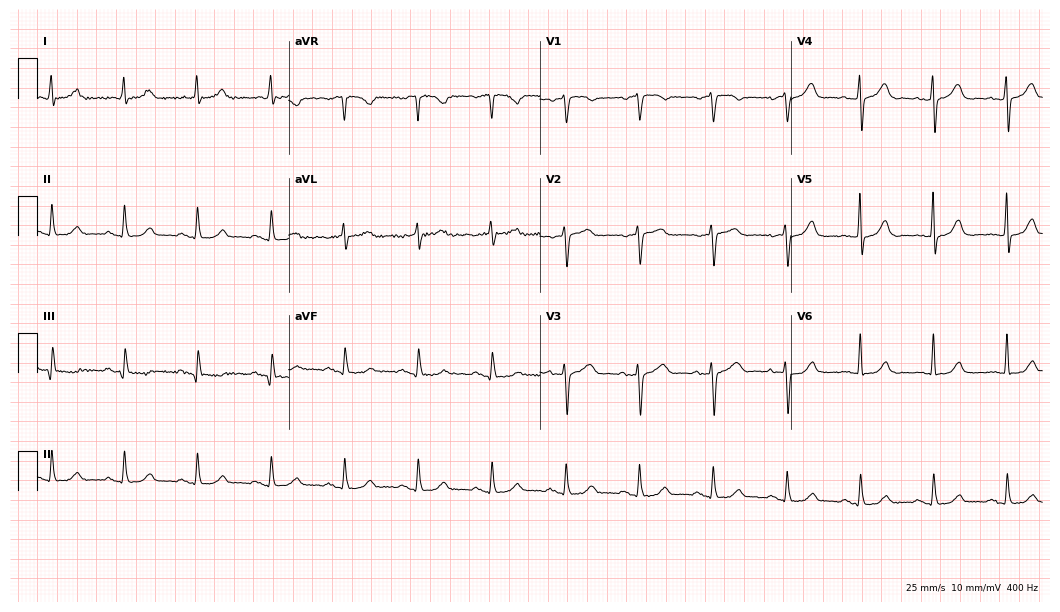
12-lead ECG from a female, 65 years old. Recorded interpretation: within normal limits.